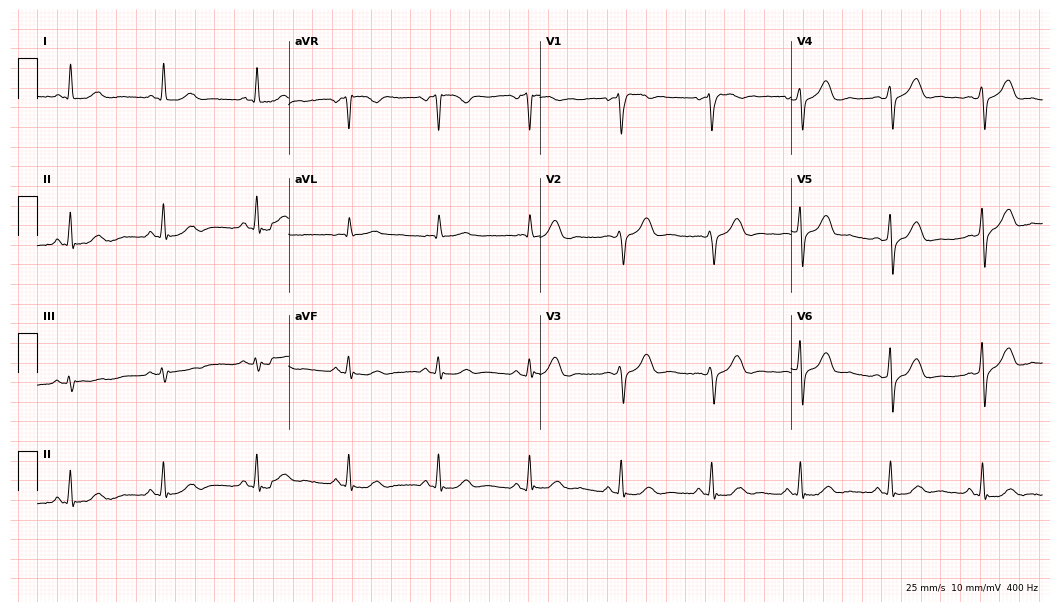
12-lead ECG from a man, 65 years old. No first-degree AV block, right bundle branch block, left bundle branch block, sinus bradycardia, atrial fibrillation or sinus tachycardia recorded for this tracing. Only these six findings were labelled.